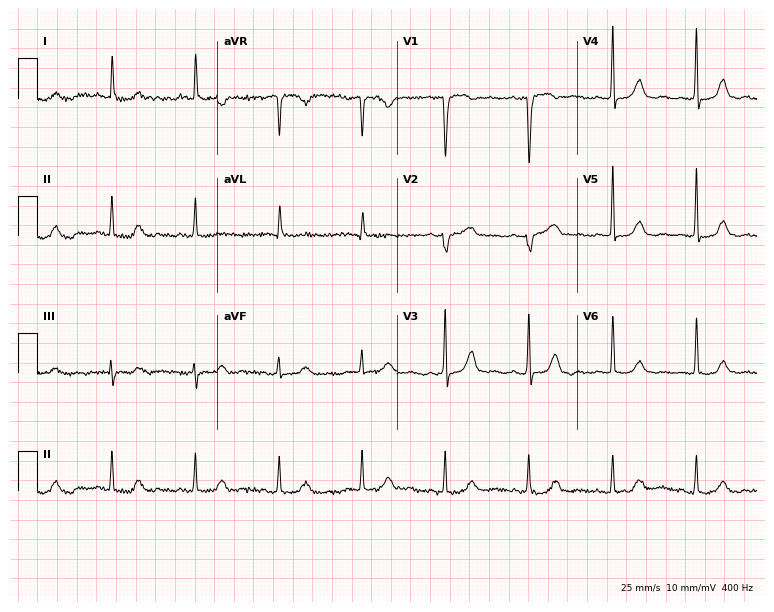
Resting 12-lead electrocardiogram. Patient: a 71-year-old woman. None of these six findings is recorded: first-degree AV block, right bundle branch block, left bundle branch block, sinus bradycardia, atrial fibrillation, sinus tachycardia.